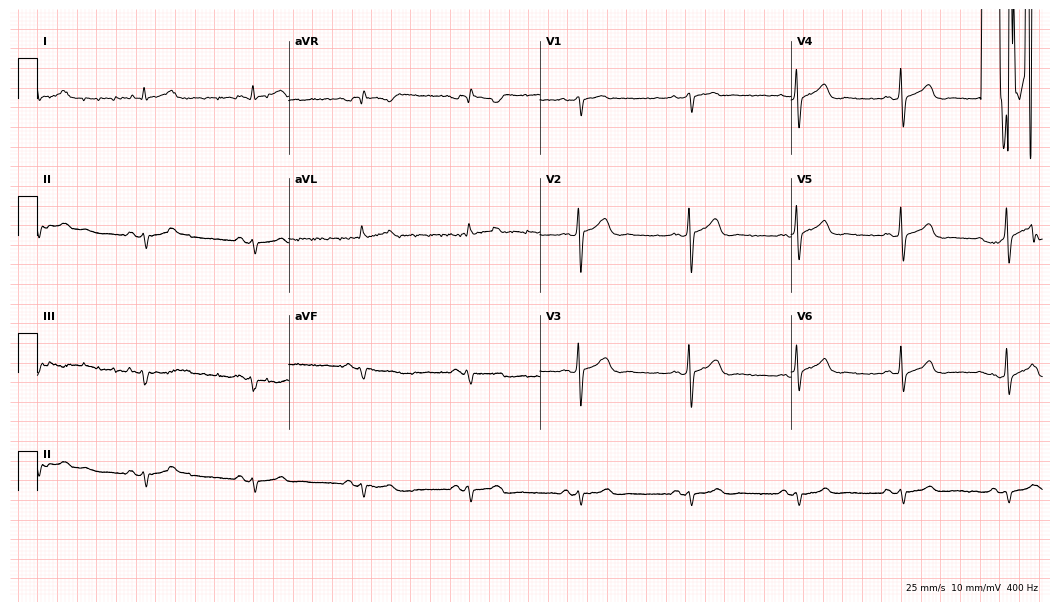
Electrocardiogram (10.2-second recording at 400 Hz), a 49-year-old man. Of the six screened findings (first-degree AV block, right bundle branch block (RBBB), left bundle branch block (LBBB), sinus bradycardia, atrial fibrillation (AF), sinus tachycardia), none is recorded. Findings outside these six are not listed.